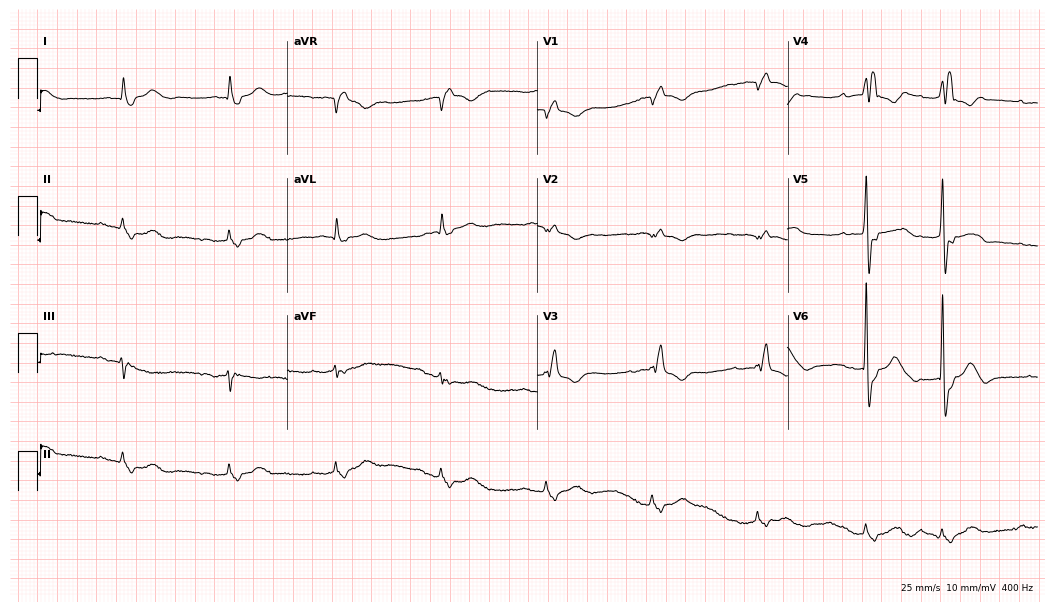
ECG (10.2-second recording at 400 Hz) — a man, 84 years old. Screened for six findings — first-degree AV block, right bundle branch block, left bundle branch block, sinus bradycardia, atrial fibrillation, sinus tachycardia — none is recorded.